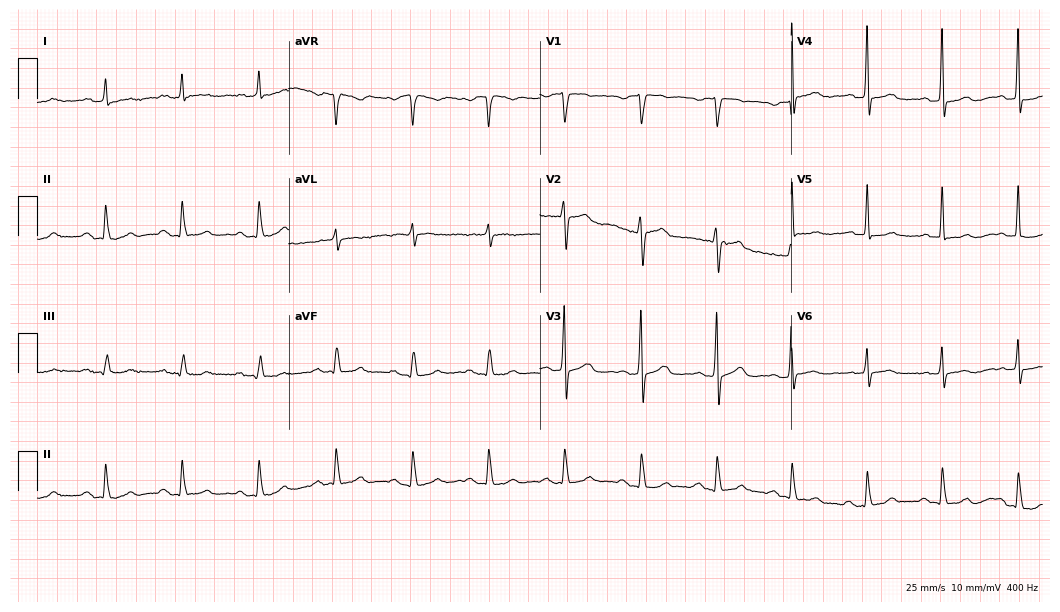
Resting 12-lead electrocardiogram (10.2-second recording at 400 Hz). Patient: a 74-year-old male. None of these six findings is recorded: first-degree AV block, right bundle branch block, left bundle branch block, sinus bradycardia, atrial fibrillation, sinus tachycardia. Only these six findings were labelled.